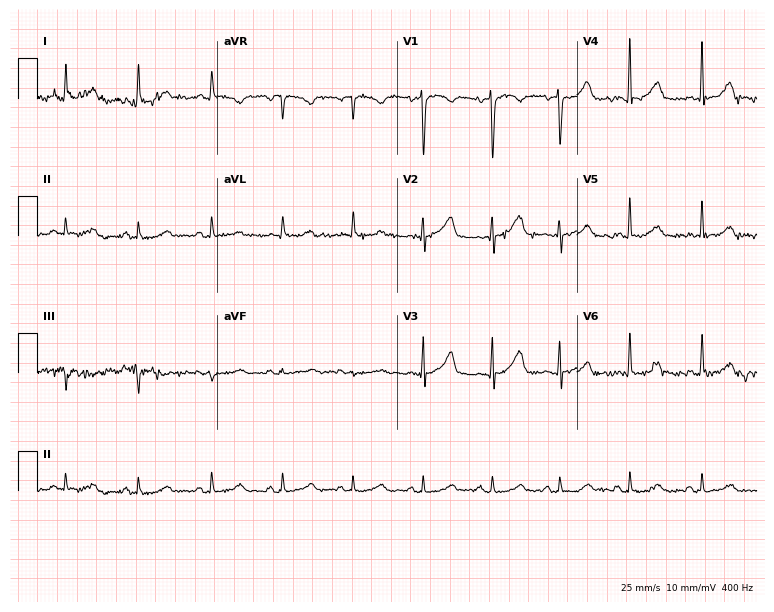
Electrocardiogram, a 53-year-old male patient. Of the six screened findings (first-degree AV block, right bundle branch block (RBBB), left bundle branch block (LBBB), sinus bradycardia, atrial fibrillation (AF), sinus tachycardia), none is recorded. Only these six findings were labelled.